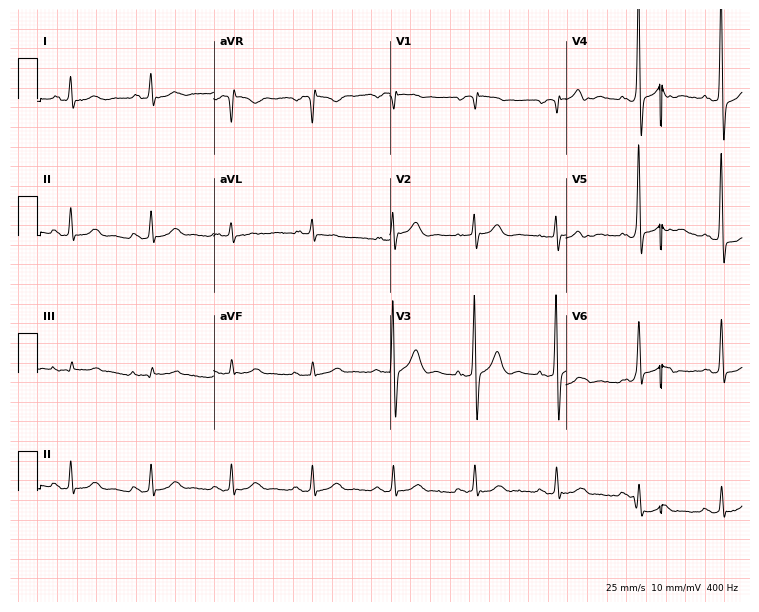
Standard 12-lead ECG recorded from a man, 65 years old (7.2-second recording at 400 Hz). None of these six findings is recorded: first-degree AV block, right bundle branch block, left bundle branch block, sinus bradycardia, atrial fibrillation, sinus tachycardia.